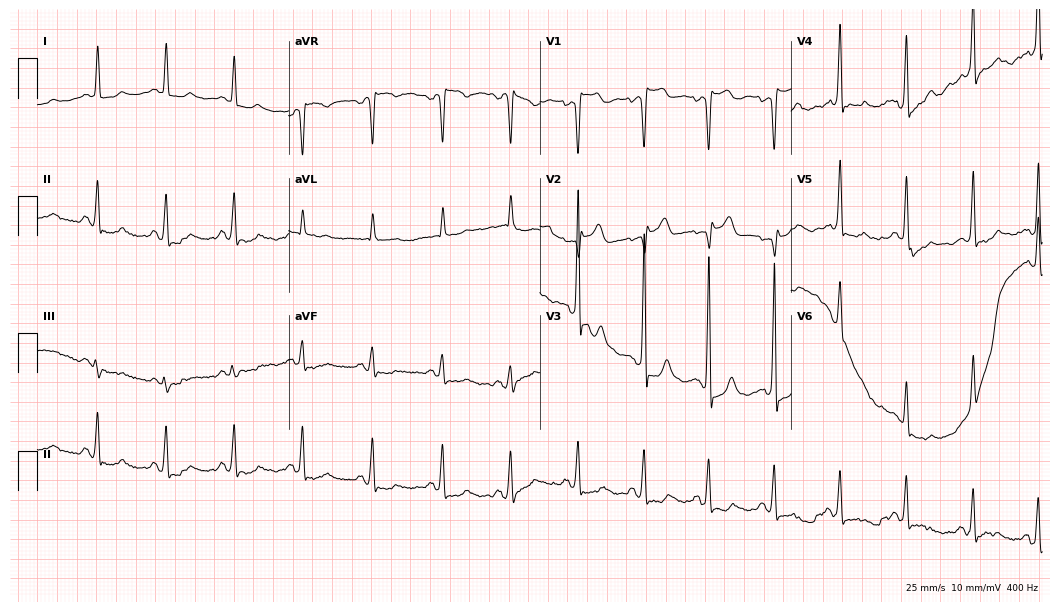
12-lead ECG from a 55-year-old male. Labelled as a normal ECG.